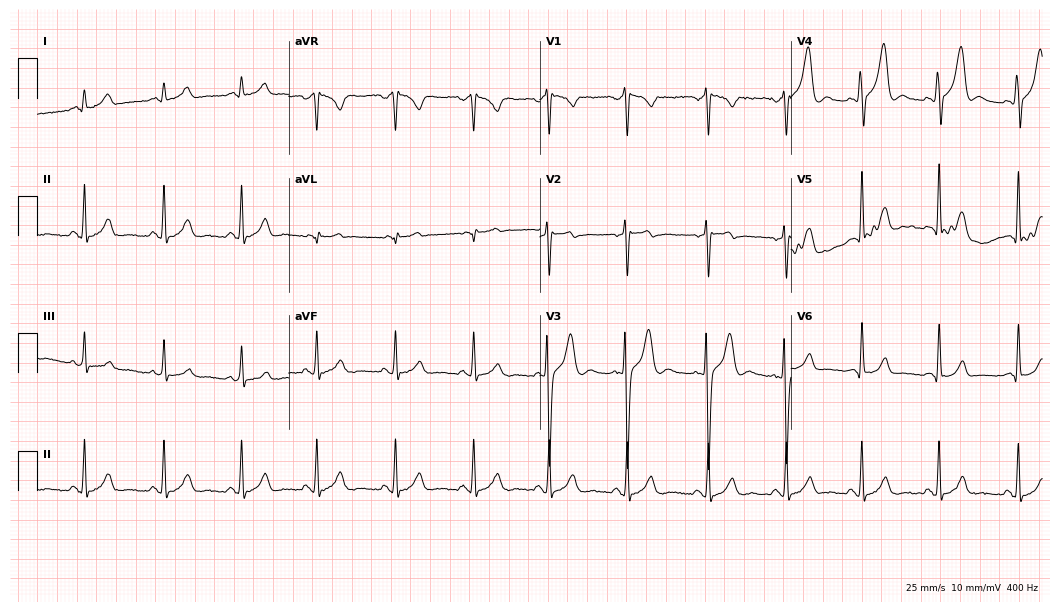
Resting 12-lead electrocardiogram (10.2-second recording at 400 Hz). Patient: a 31-year-old man. Read as a normal ECG.